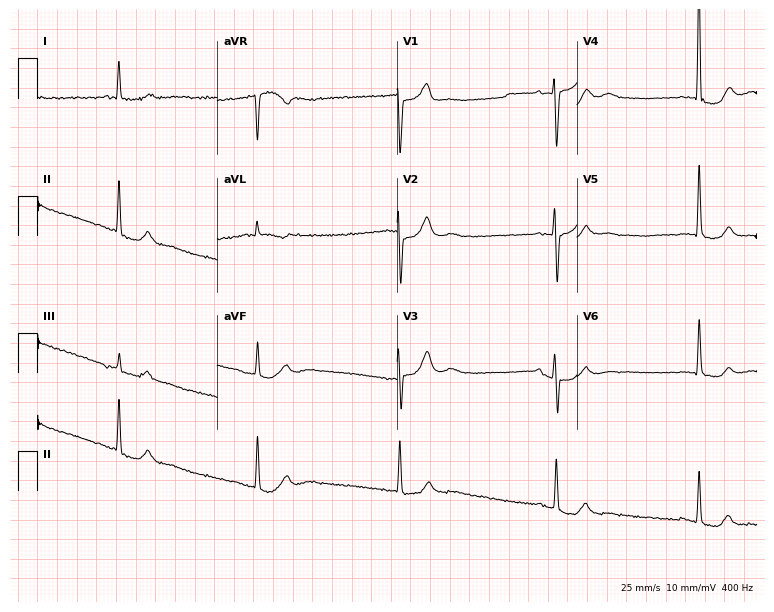
12-lead ECG (7.3-second recording at 400 Hz) from a woman, 82 years old. Findings include sinus bradycardia (a sinus rate of 50 beats per minute or less).